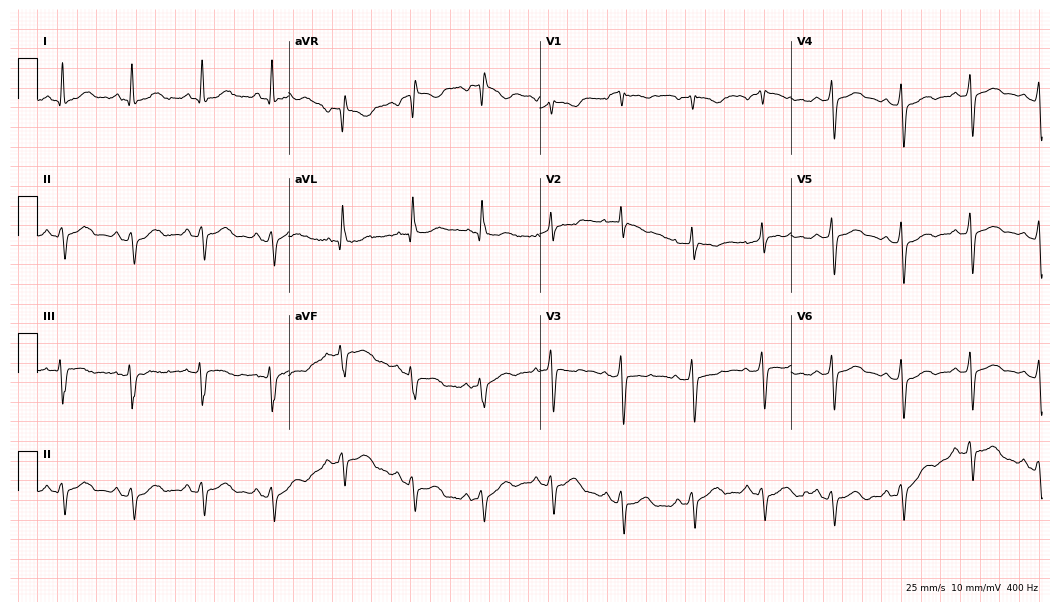
12-lead ECG (10.2-second recording at 400 Hz) from a 54-year-old female patient. Screened for six findings — first-degree AV block, right bundle branch block, left bundle branch block, sinus bradycardia, atrial fibrillation, sinus tachycardia — none is recorded.